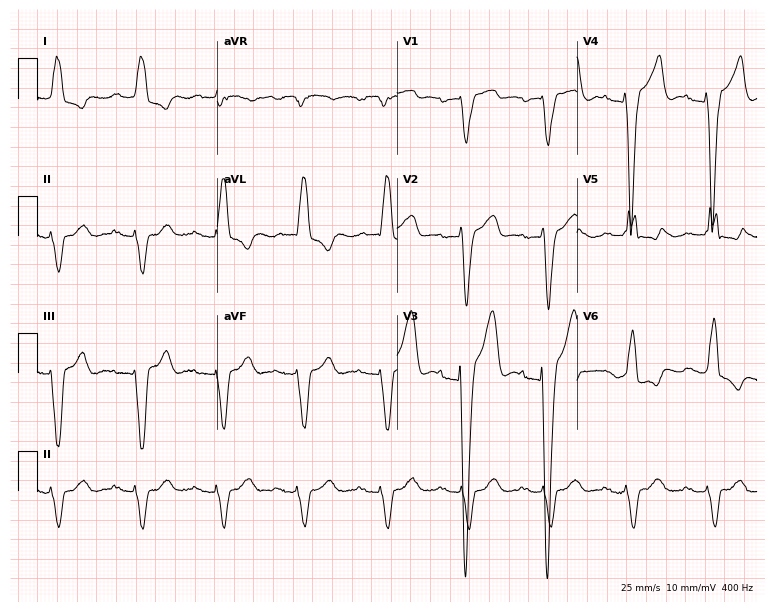
Standard 12-lead ECG recorded from an 84-year-old male. The tracing shows first-degree AV block, left bundle branch block.